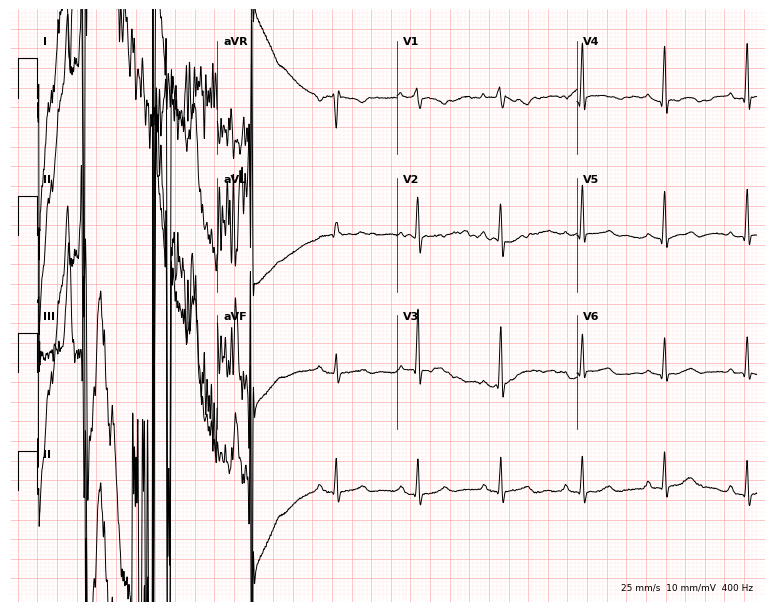
Electrocardiogram (7.3-second recording at 400 Hz), a 43-year-old woman. Of the six screened findings (first-degree AV block, right bundle branch block, left bundle branch block, sinus bradycardia, atrial fibrillation, sinus tachycardia), none is recorded. Only these six findings were labelled.